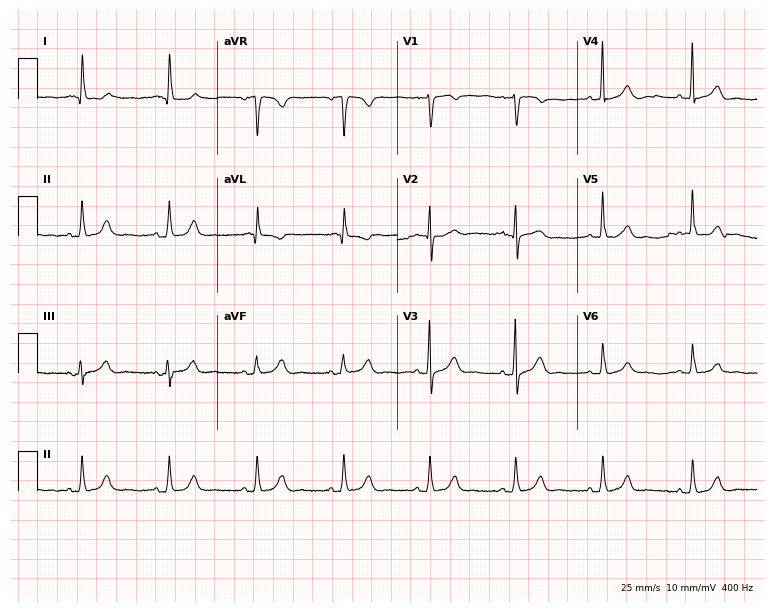
Standard 12-lead ECG recorded from a 68-year-old female patient (7.3-second recording at 400 Hz). Read as a normal ECG.